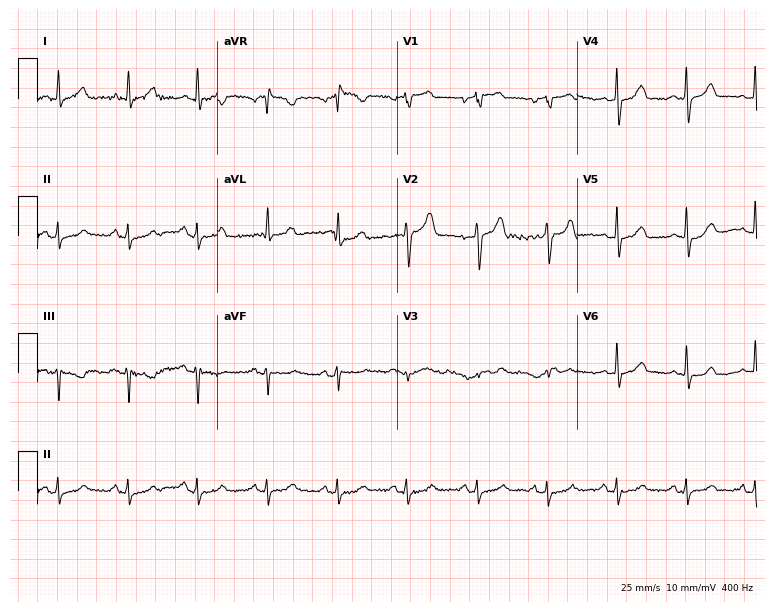
12-lead ECG from a 54-year-old man. No first-degree AV block, right bundle branch block, left bundle branch block, sinus bradycardia, atrial fibrillation or sinus tachycardia recorded for this tracing. Findings outside these six are not listed.